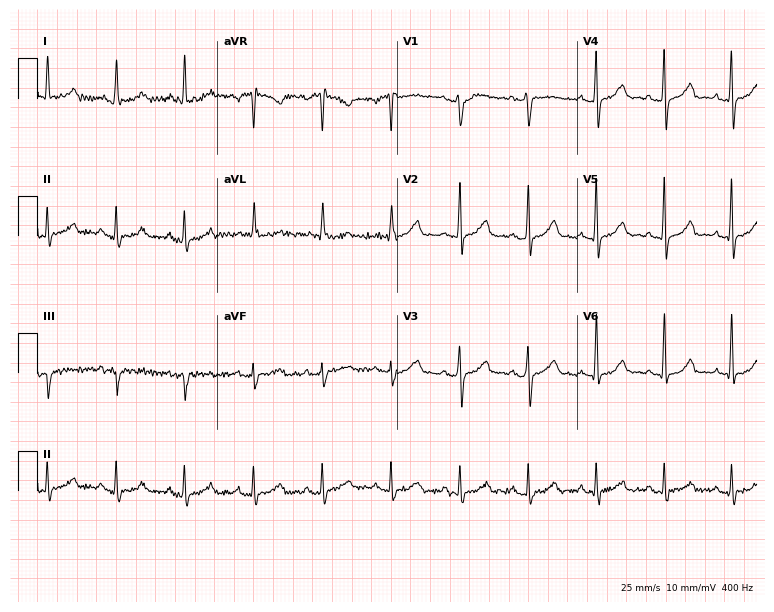
Standard 12-lead ECG recorded from a 43-year-old female. Read as a normal ECG.